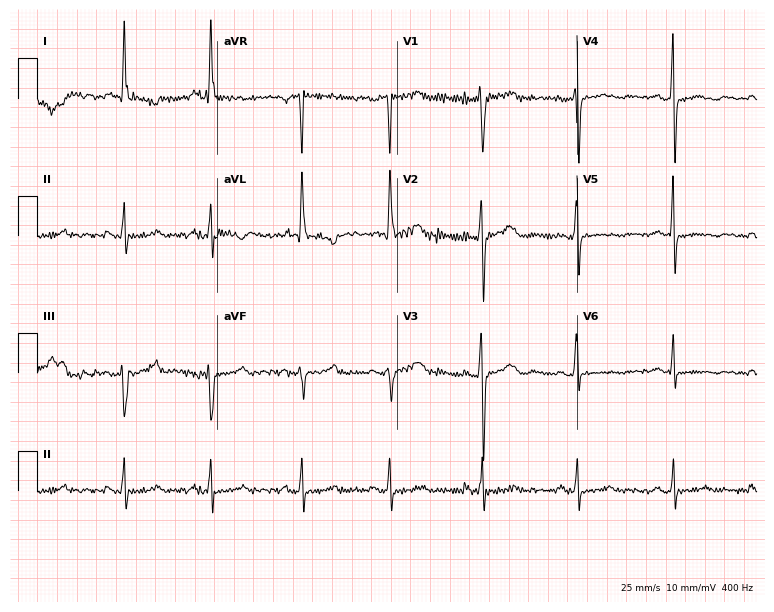
12-lead ECG (7.3-second recording at 400 Hz) from a 66-year-old woman. Screened for six findings — first-degree AV block, right bundle branch block, left bundle branch block, sinus bradycardia, atrial fibrillation, sinus tachycardia — none is recorded.